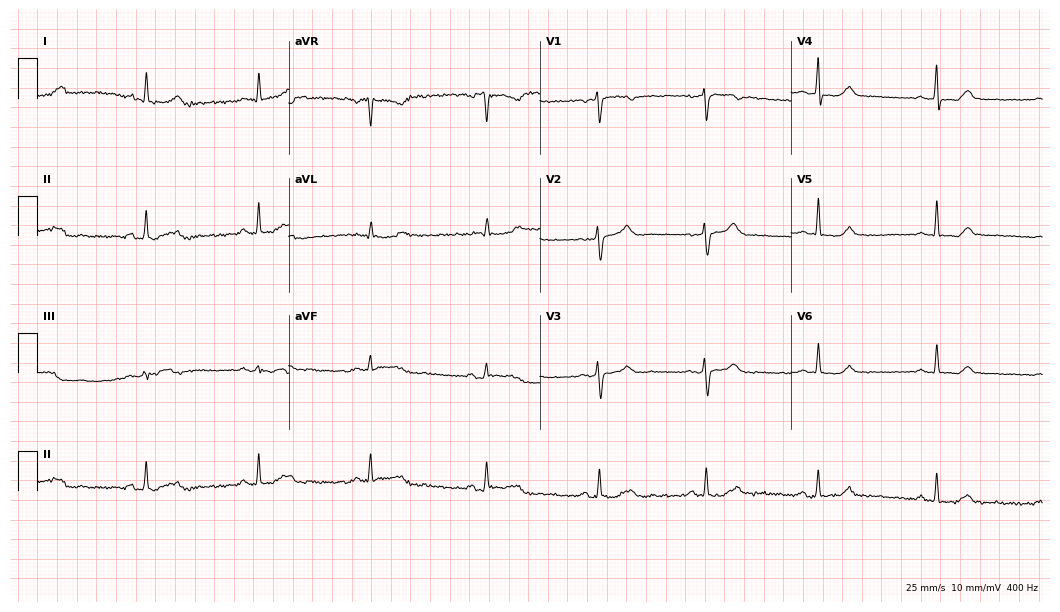
ECG — a female, 53 years old. Labelled as a normal ECG.